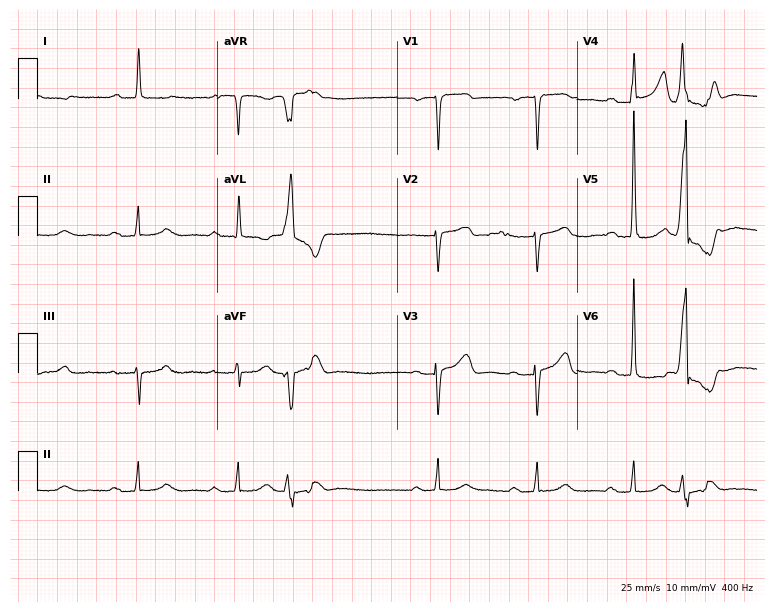
12-lead ECG from a male patient, 83 years old. No first-degree AV block, right bundle branch block (RBBB), left bundle branch block (LBBB), sinus bradycardia, atrial fibrillation (AF) or sinus tachycardia recorded for this tracing. Other findings, if any, are not listed.